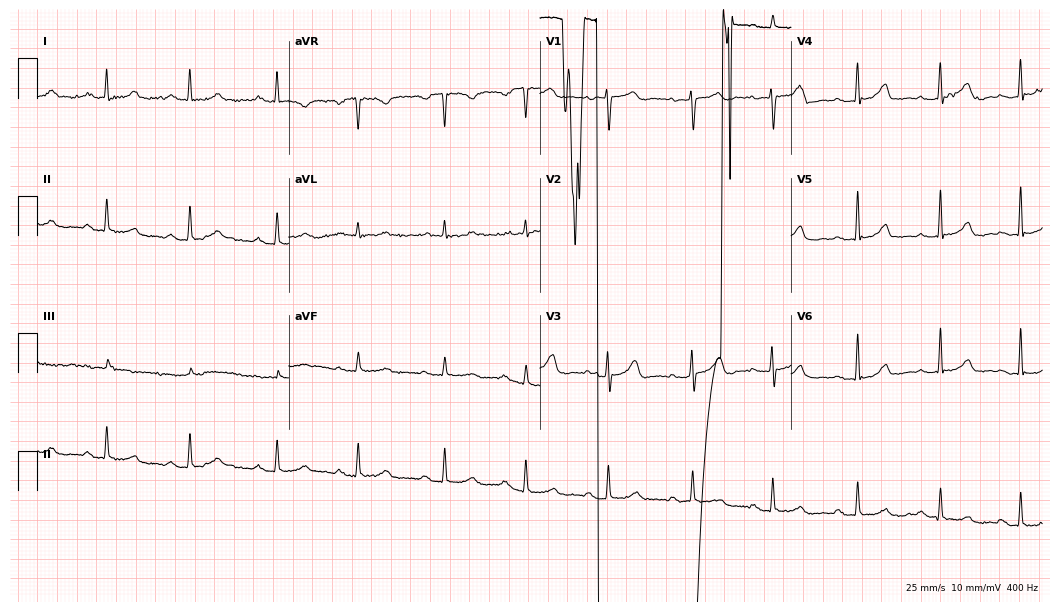
12-lead ECG from a female, 42 years old. Screened for six findings — first-degree AV block, right bundle branch block, left bundle branch block, sinus bradycardia, atrial fibrillation, sinus tachycardia — none is recorded. Findings outside these six are not listed.